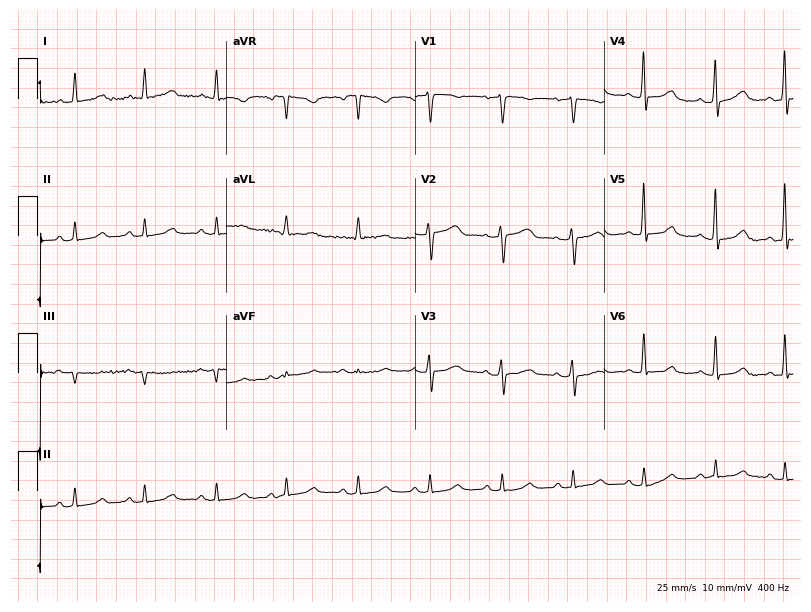
12-lead ECG (7.7-second recording at 400 Hz) from a female, 58 years old. Labelled as a normal ECG.